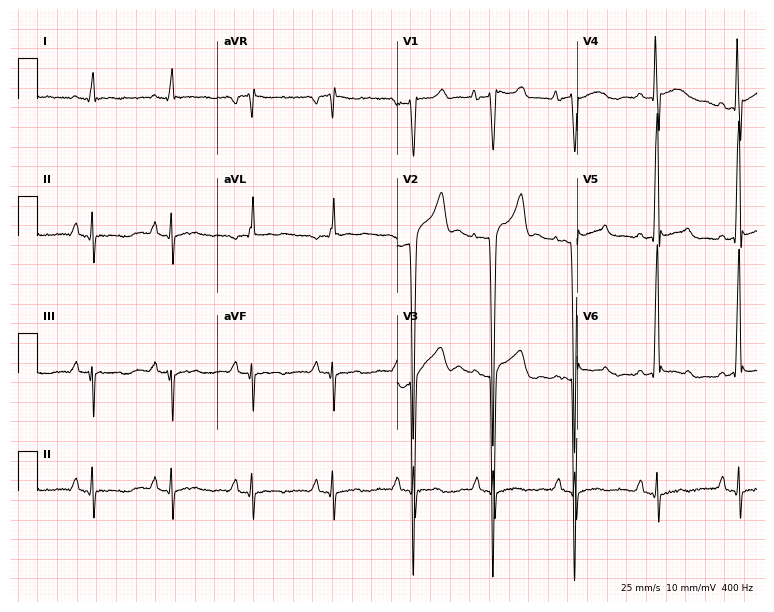
12-lead ECG from a man, 56 years old. No first-degree AV block, right bundle branch block, left bundle branch block, sinus bradycardia, atrial fibrillation or sinus tachycardia recorded for this tracing.